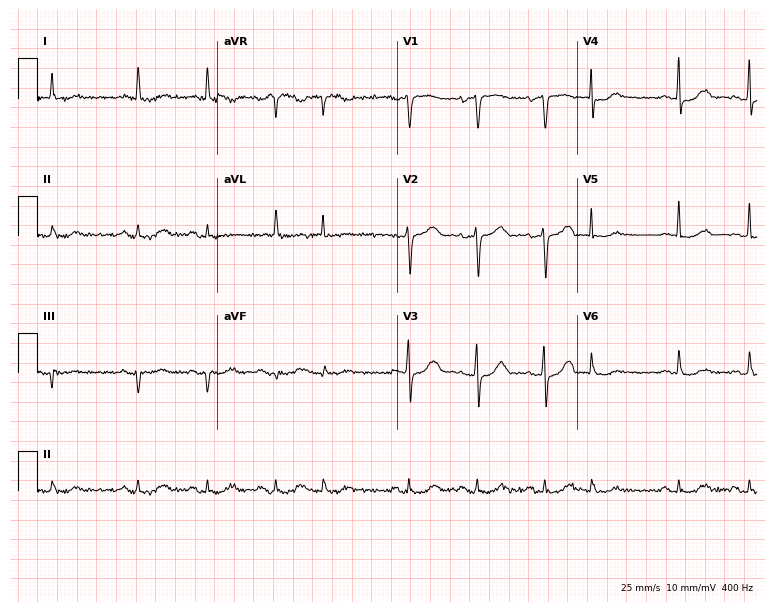
12-lead ECG from a female, 84 years old. Screened for six findings — first-degree AV block, right bundle branch block, left bundle branch block, sinus bradycardia, atrial fibrillation, sinus tachycardia — none is recorded.